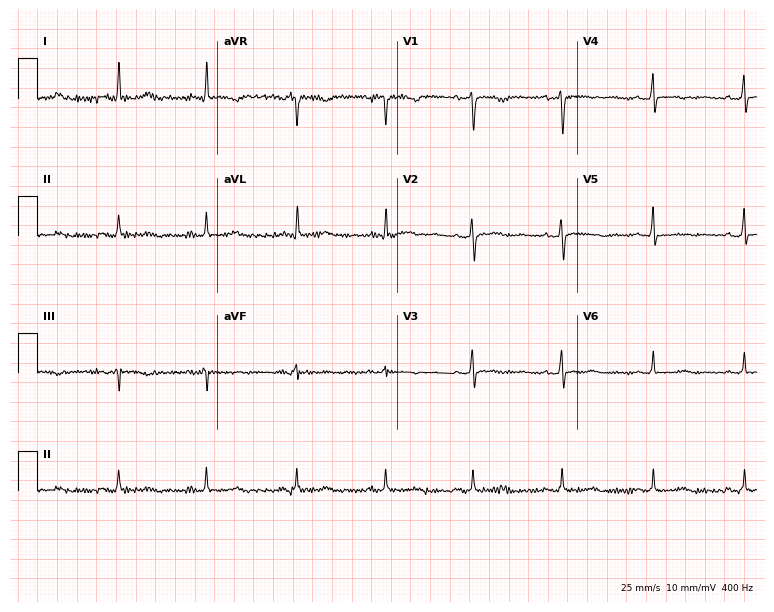
Standard 12-lead ECG recorded from a 57-year-old female patient (7.3-second recording at 400 Hz). None of these six findings is recorded: first-degree AV block, right bundle branch block (RBBB), left bundle branch block (LBBB), sinus bradycardia, atrial fibrillation (AF), sinus tachycardia. Only these six findings were labelled.